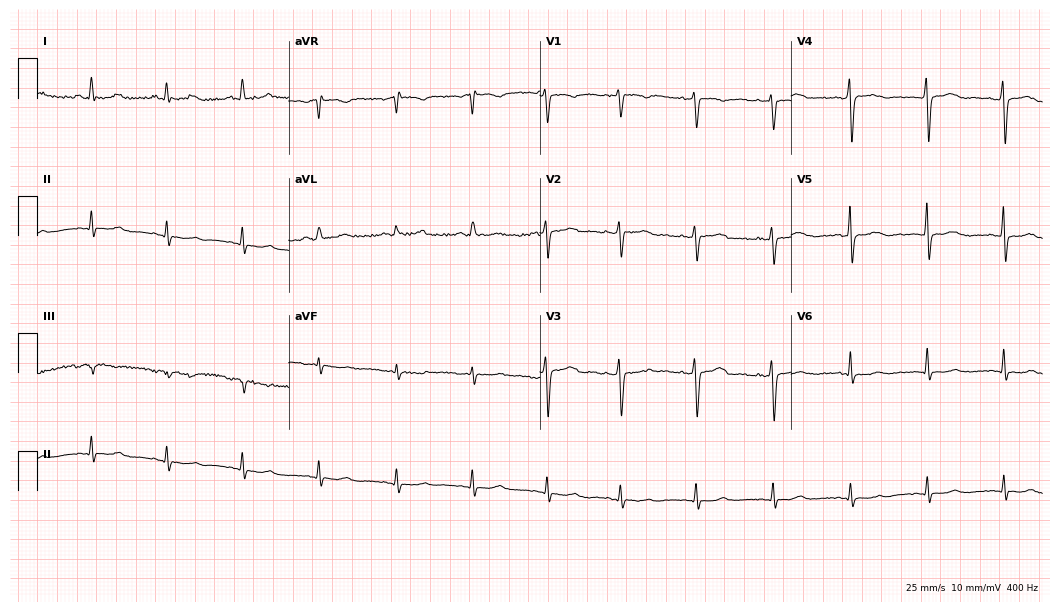
Electrocardiogram (10.2-second recording at 400 Hz), a 40-year-old female. Of the six screened findings (first-degree AV block, right bundle branch block, left bundle branch block, sinus bradycardia, atrial fibrillation, sinus tachycardia), none is recorded.